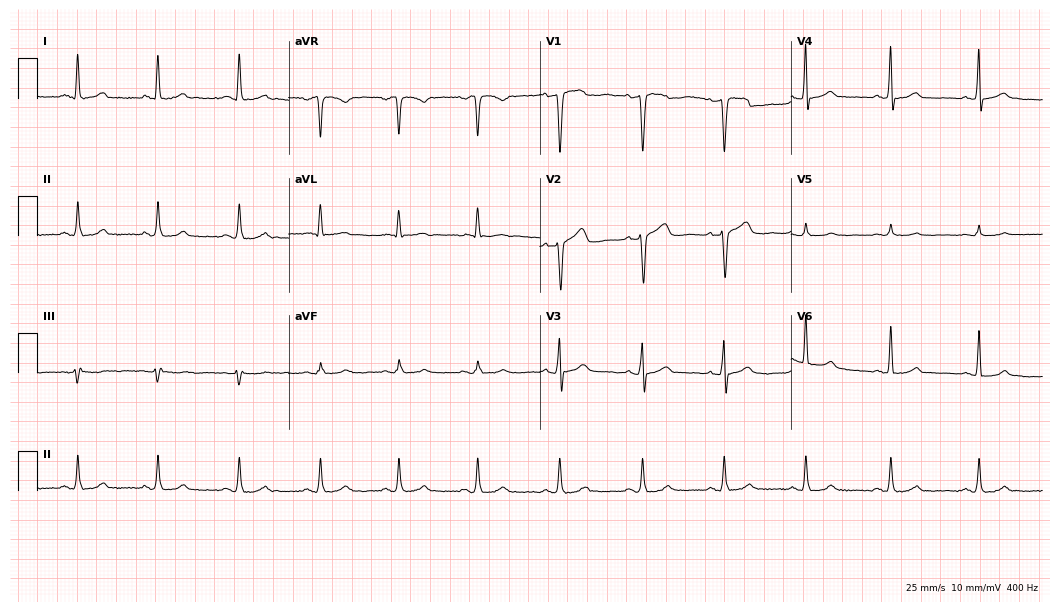
Resting 12-lead electrocardiogram (10.2-second recording at 400 Hz). Patient: a 42-year-old man. Read as a normal ECG.